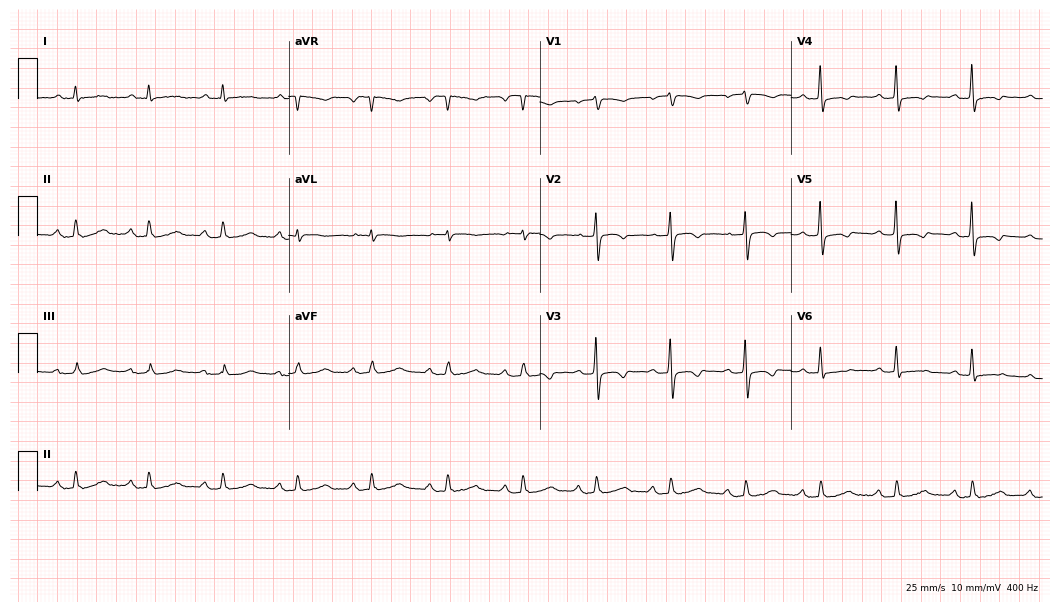
12-lead ECG (10.2-second recording at 400 Hz) from an 83-year-old male patient. Findings include first-degree AV block.